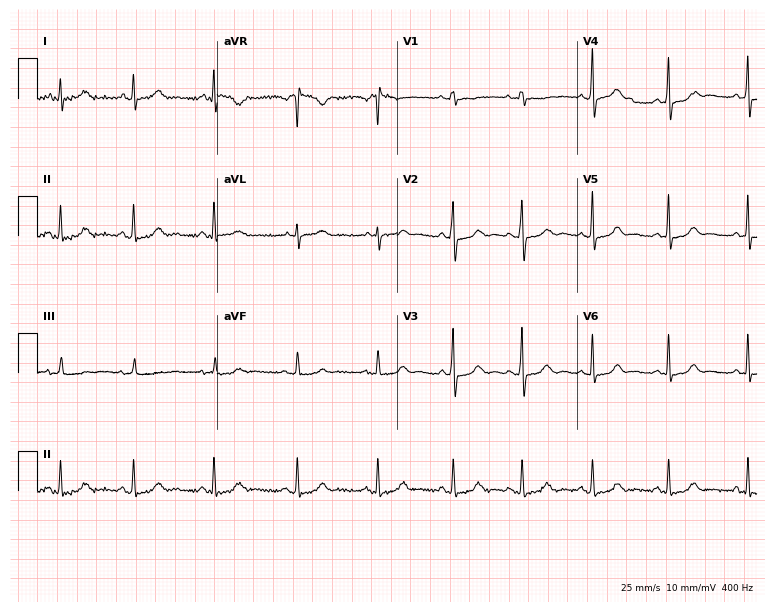
Resting 12-lead electrocardiogram. Patient: a female, 19 years old. Read as a normal ECG.